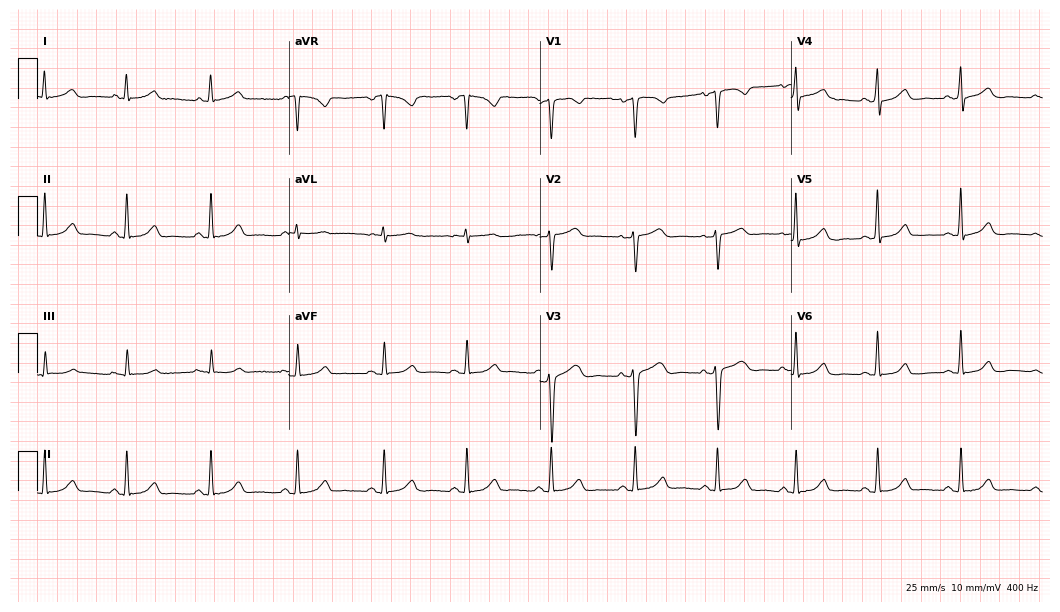
12-lead ECG from a 48-year-old female (10.2-second recording at 400 Hz). Recorded interpretation: within normal limits.